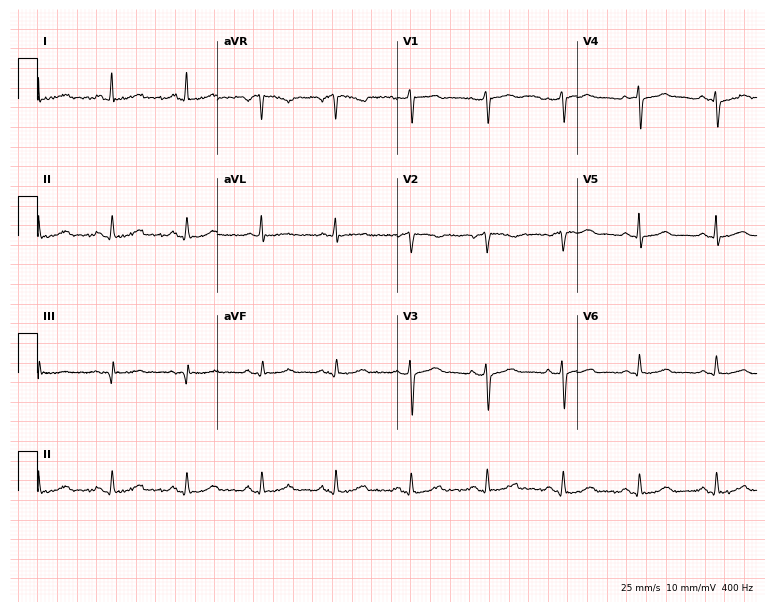
ECG (7.3-second recording at 400 Hz) — a female, 48 years old. Labelled as a normal ECG.